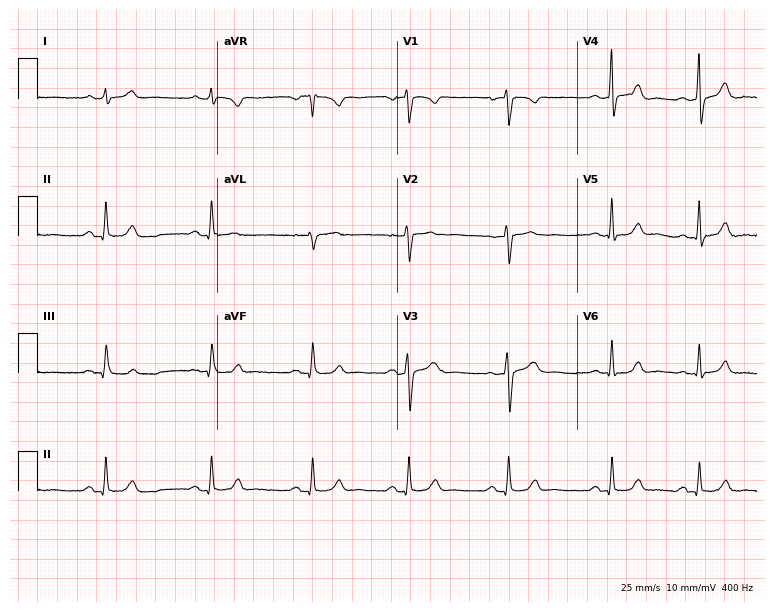
Resting 12-lead electrocardiogram. Patient: a woman, 31 years old. Read as a normal ECG.